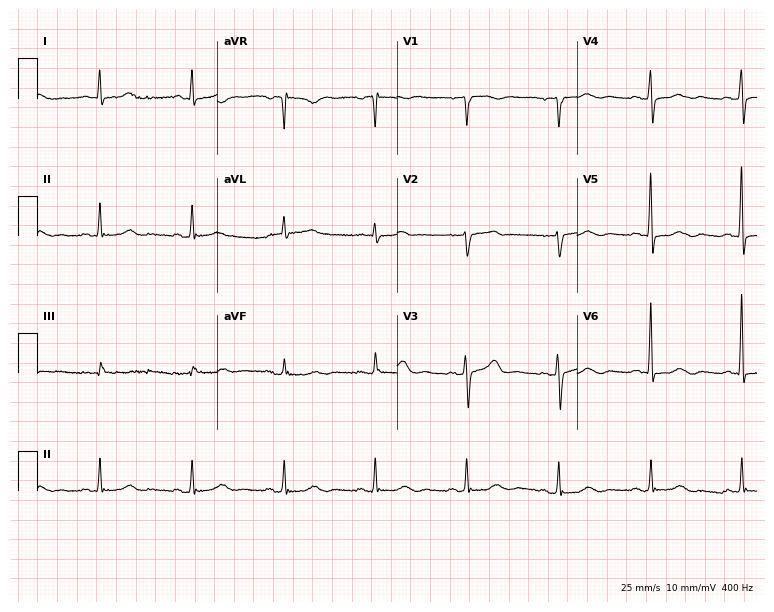
12-lead ECG from a female patient, 77 years old. Labelled as a normal ECG.